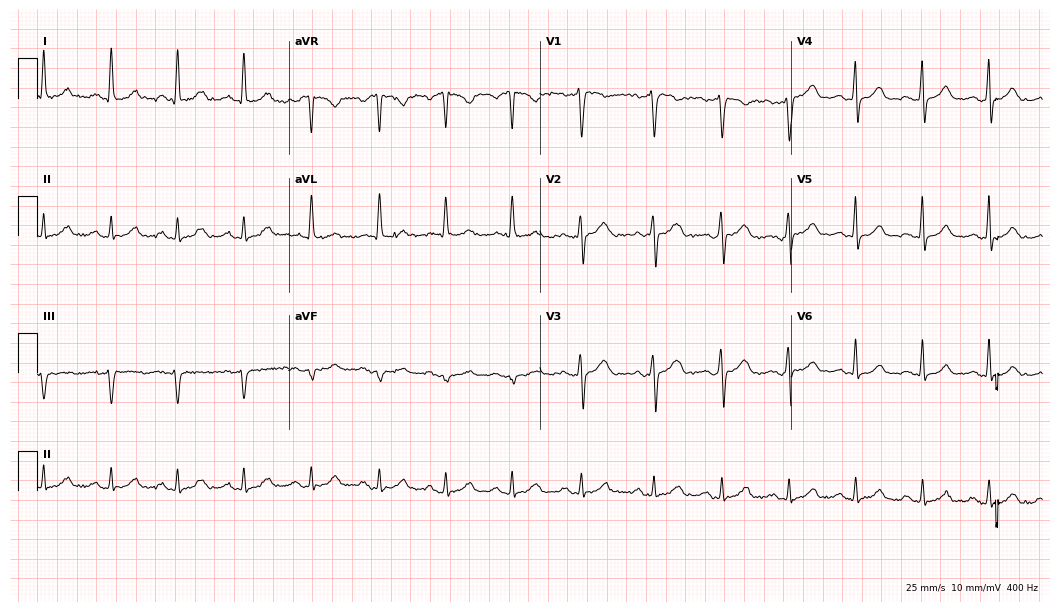
Resting 12-lead electrocardiogram. Patient: a female, 35 years old. Read as a normal ECG.